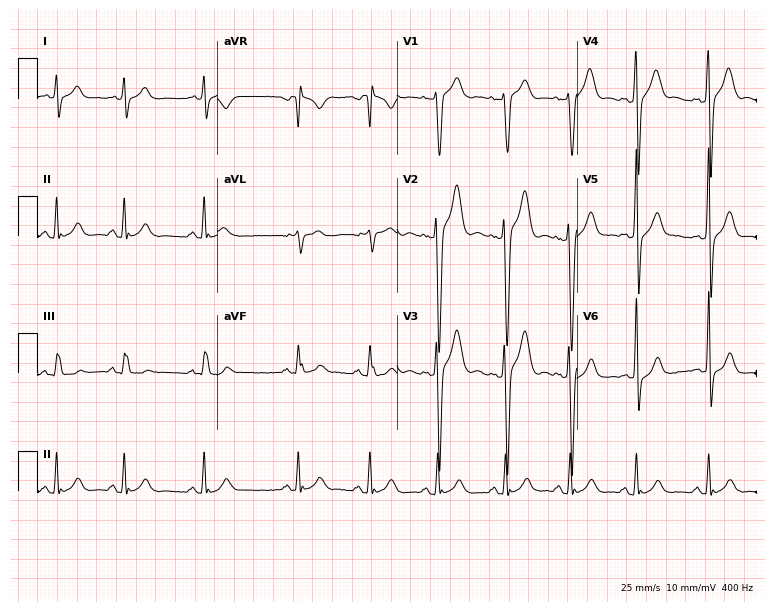
Standard 12-lead ECG recorded from a 17-year-old man. None of these six findings is recorded: first-degree AV block, right bundle branch block, left bundle branch block, sinus bradycardia, atrial fibrillation, sinus tachycardia.